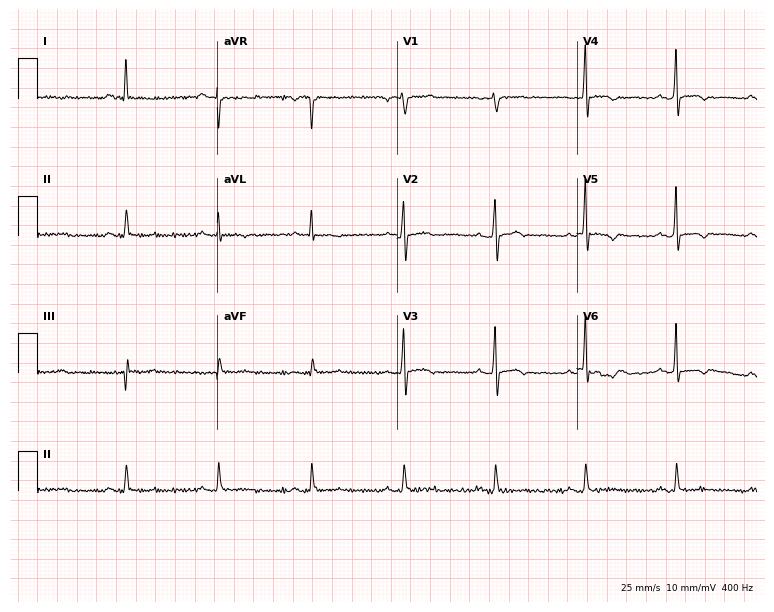
Electrocardiogram (7.3-second recording at 400 Hz), a 43-year-old man. Of the six screened findings (first-degree AV block, right bundle branch block (RBBB), left bundle branch block (LBBB), sinus bradycardia, atrial fibrillation (AF), sinus tachycardia), none is recorded. Only these six findings were labelled.